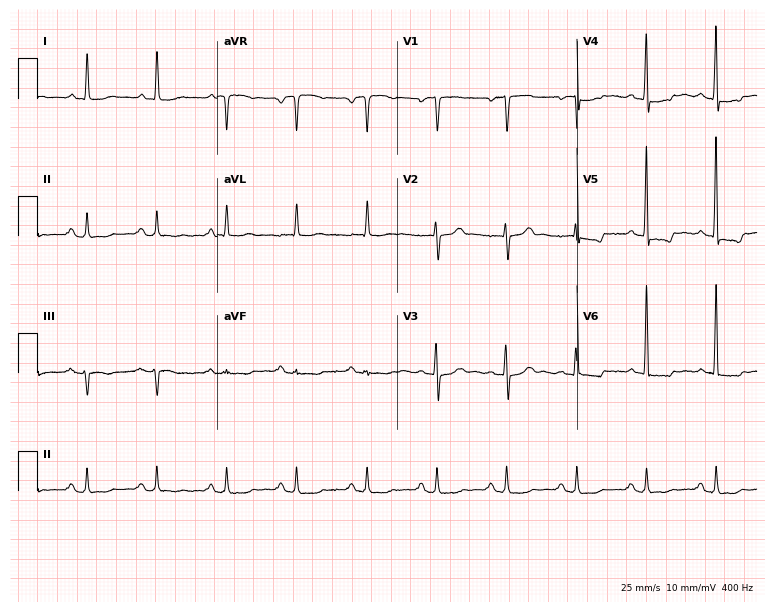
Electrocardiogram (7.3-second recording at 400 Hz), a man, 82 years old. Of the six screened findings (first-degree AV block, right bundle branch block, left bundle branch block, sinus bradycardia, atrial fibrillation, sinus tachycardia), none is recorded. Only these six findings were labelled.